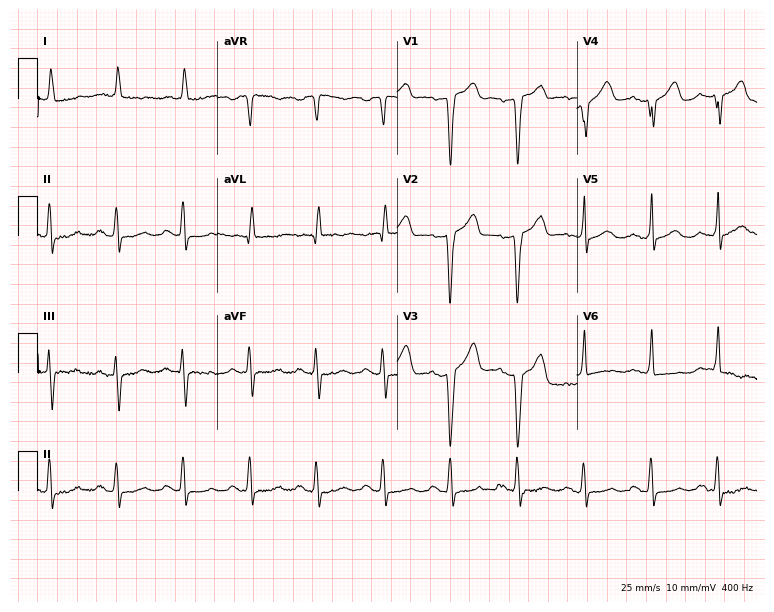
Electrocardiogram, a female, 85 years old. Of the six screened findings (first-degree AV block, right bundle branch block, left bundle branch block, sinus bradycardia, atrial fibrillation, sinus tachycardia), none is recorded.